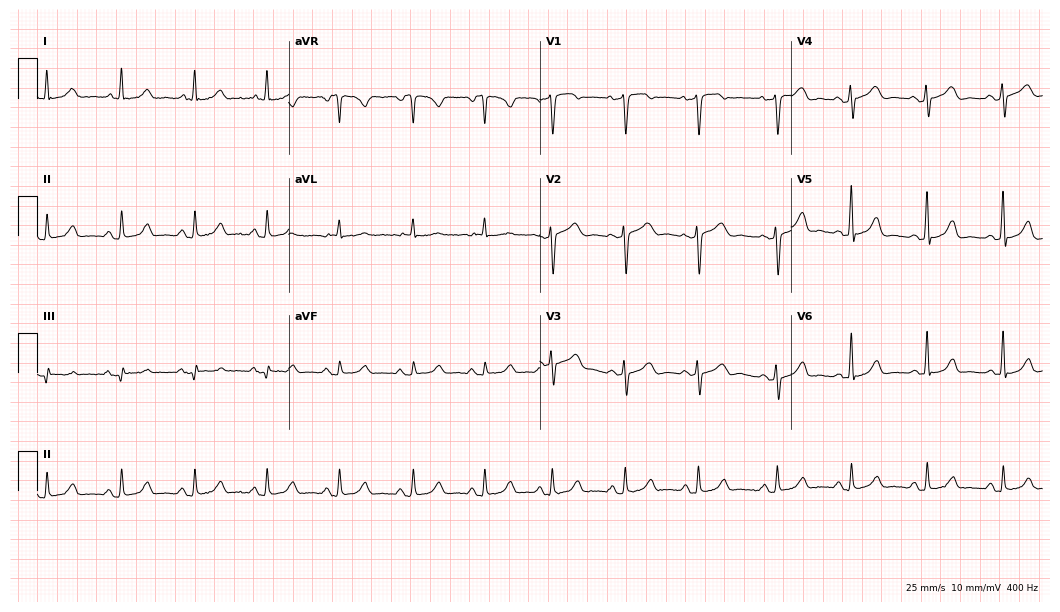
Standard 12-lead ECG recorded from a woman, 53 years old. None of these six findings is recorded: first-degree AV block, right bundle branch block, left bundle branch block, sinus bradycardia, atrial fibrillation, sinus tachycardia. Only these six findings were labelled.